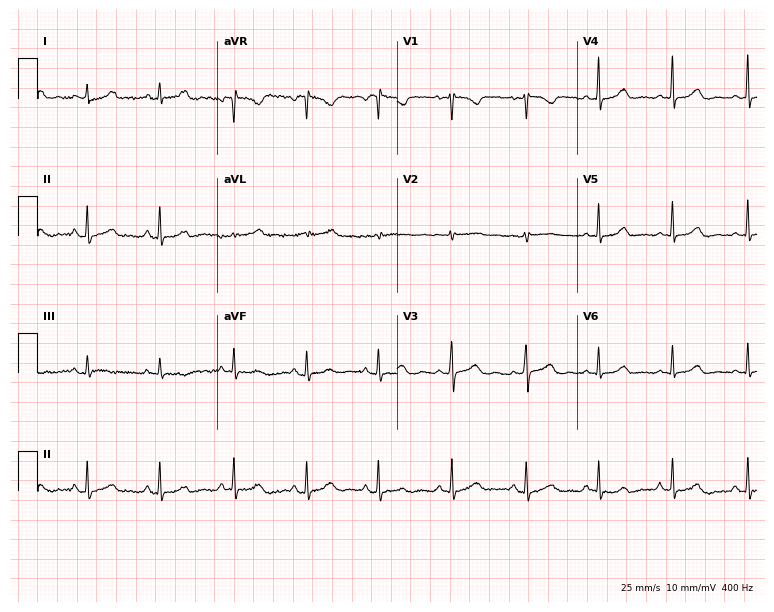
ECG (7.3-second recording at 400 Hz) — a woman, 22 years old. Labelled as a normal ECG.